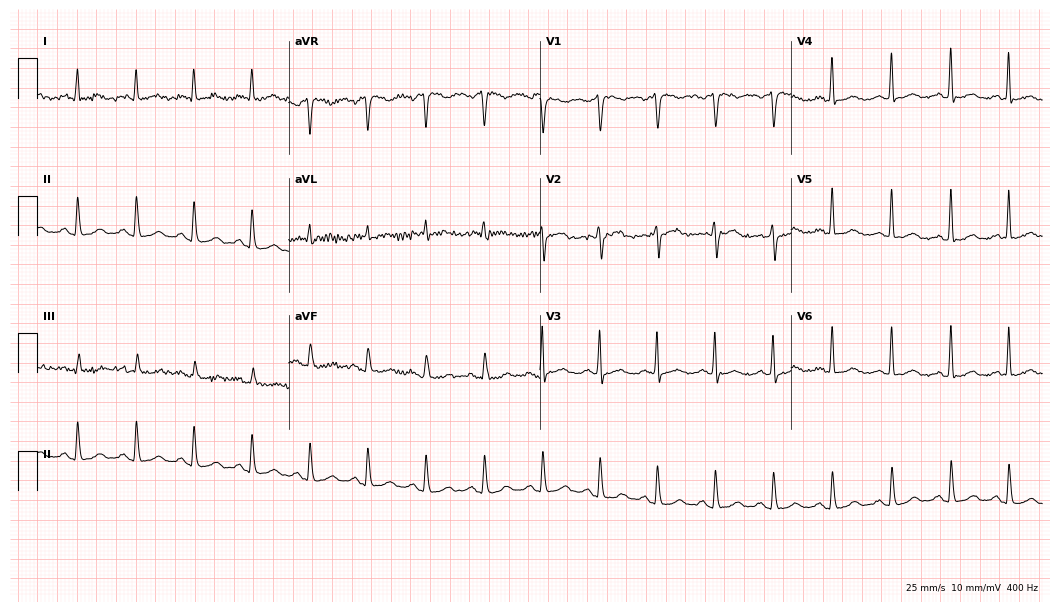
ECG (10.2-second recording at 400 Hz) — a female, 45 years old. Findings include sinus tachycardia (a sinus rate of 100 beats per minute or more).